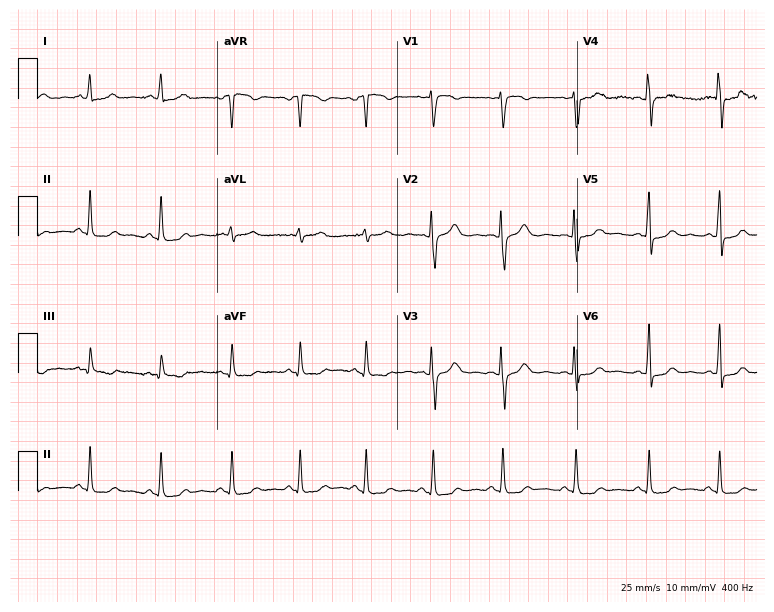
12-lead ECG from a female patient, 30 years old (7.3-second recording at 400 Hz). Recorded interpretation: within normal limits.